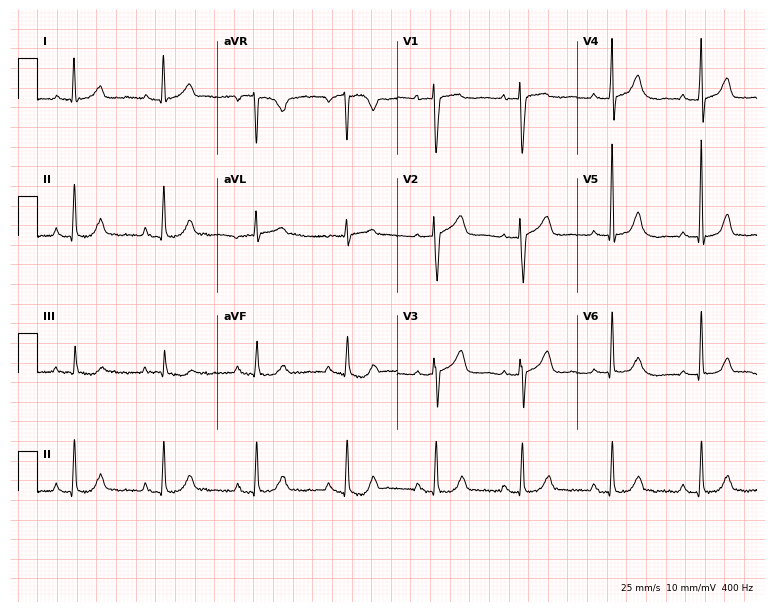
Electrocardiogram (7.3-second recording at 400 Hz), a female, 69 years old. Overall reading on record: normal ECG.